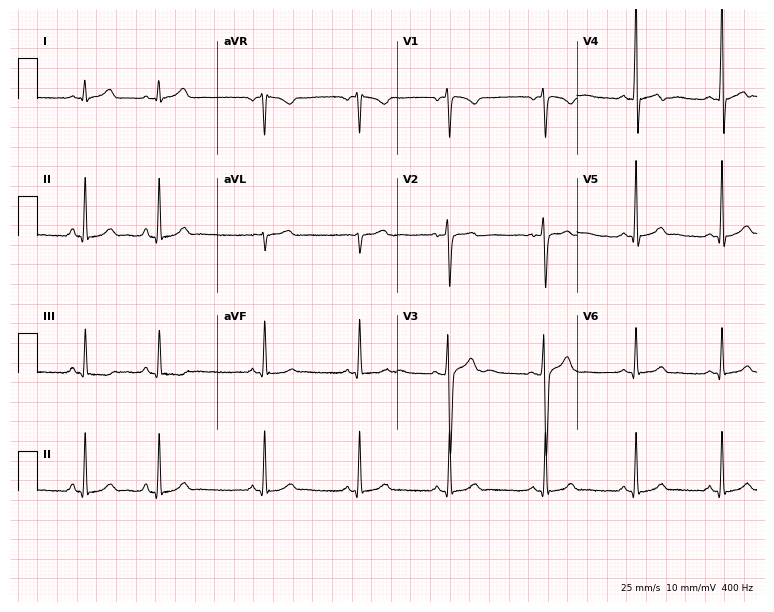
12-lead ECG from a man, 17 years old (7.3-second recording at 400 Hz). Recorded interpretation: within normal limits.